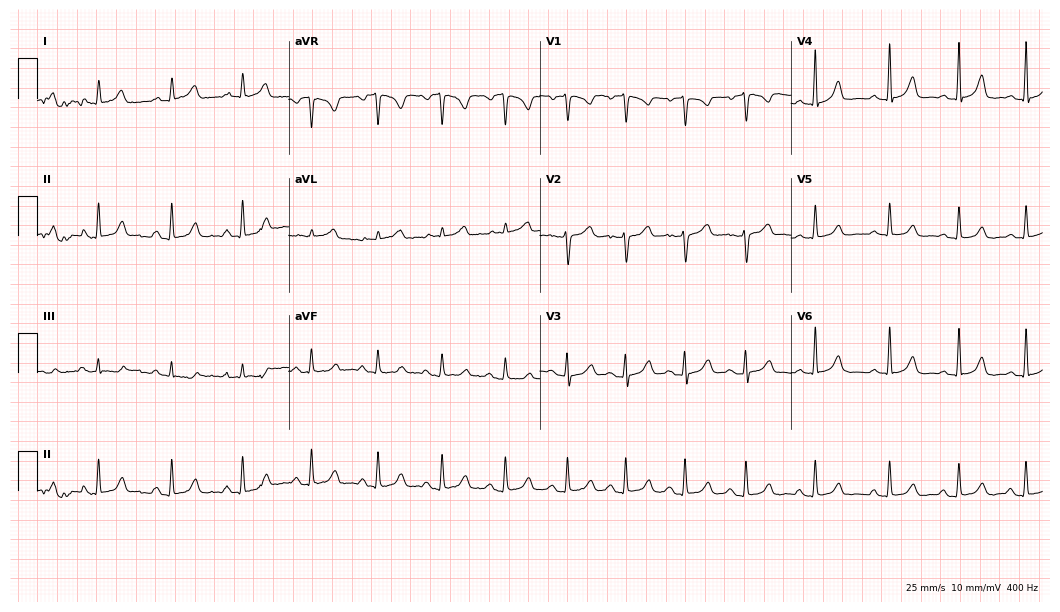
ECG (10.2-second recording at 400 Hz) — a female, 29 years old. Labelled as a normal ECG.